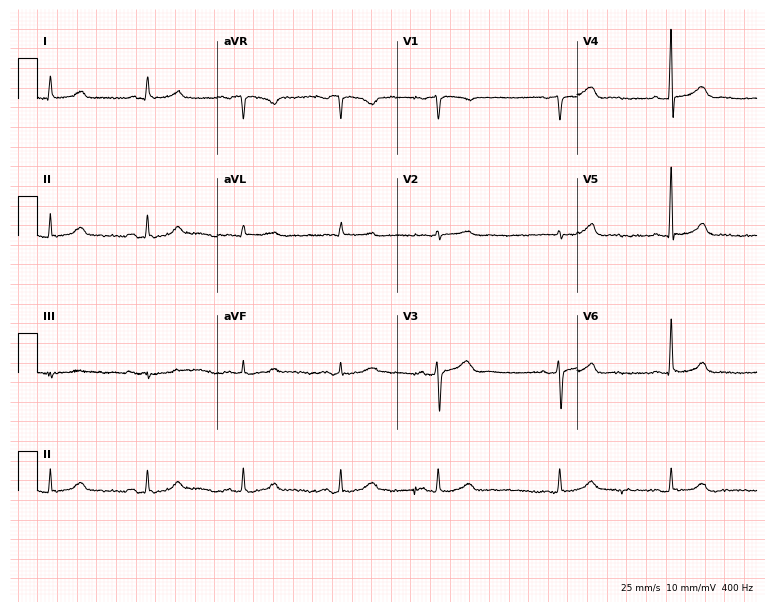
Electrocardiogram, a female, 67 years old. Of the six screened findings (first-degree AV block, right bundle branch block (RBBB), left bundle branch block (LBBB), sinus bradycardia, atrial fibrillation (AF), sinus tachycardia), none is recorded. Only these six findings were labelled.